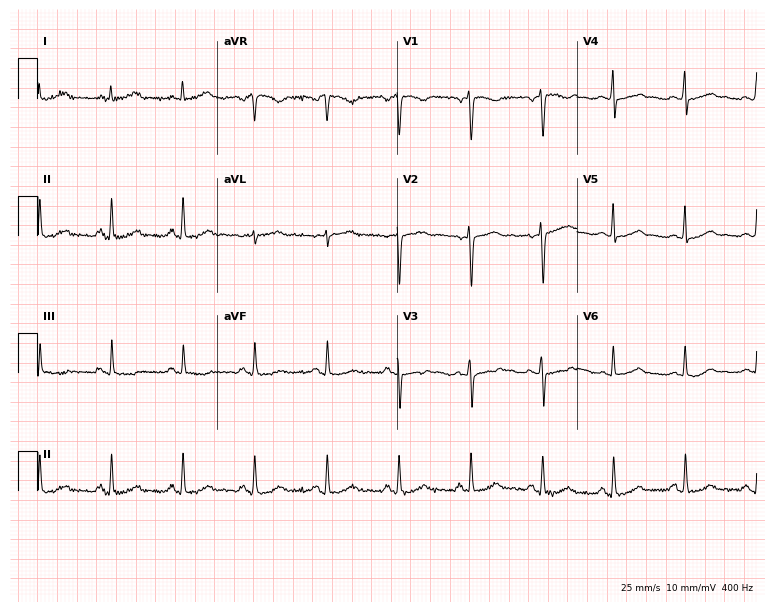
12-lead ECG from a female, 40 years old (7.3-second recording at 400 Hz). Recorded interpretation: within normal limits.